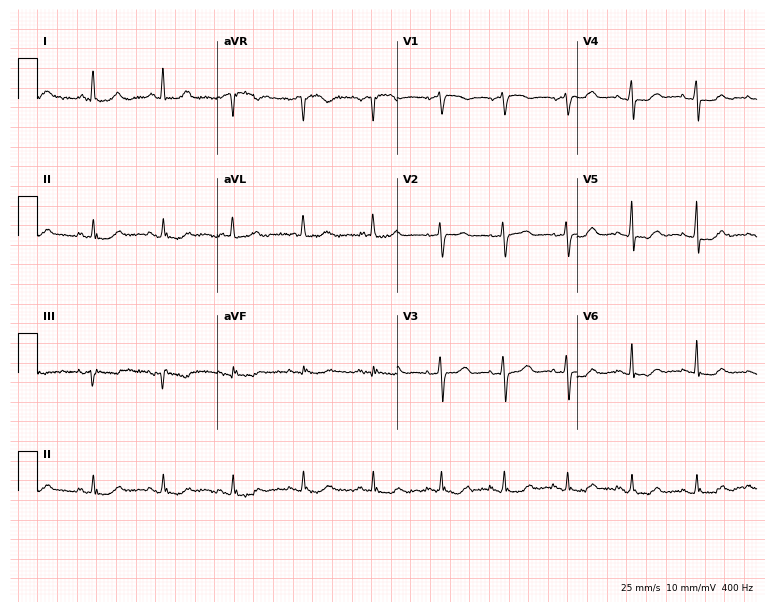
Standard 12-lead ECG recorded from a woman, 73 years old (7.3-second recording at 400 Hz). None of these six findings is recorded: first-degree AV block, right bundle branch block (RBBB), left bundle branch block (LBBB), sinus bradycardia, atrial fibrillation (AF), sinus tachycardia. Only these six findings were labelled.